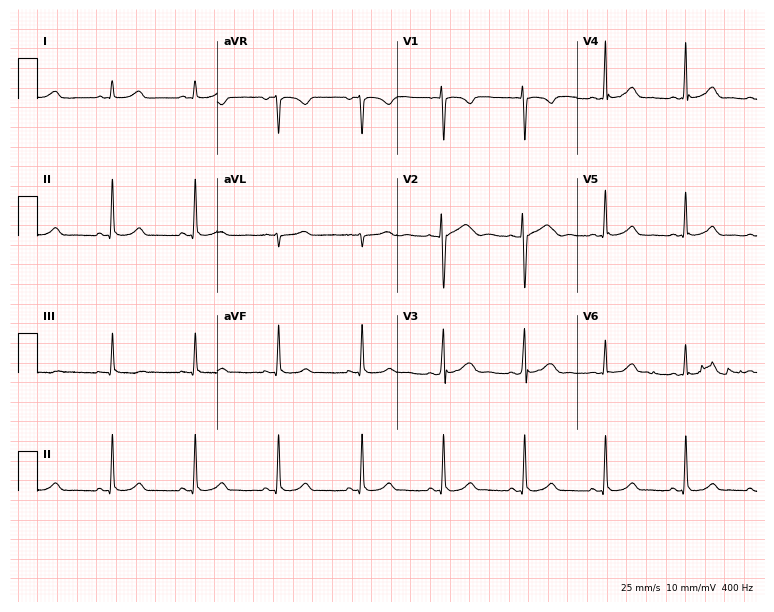
12-lead ECG from a female, 21 years old (7.3-second recording at 400 Hz). No first-degree AV block, right bundle branch block, left bundle branch block, sinus bradycardia, atrial fibrillation or sinus tachycardia recorded for this tracing.